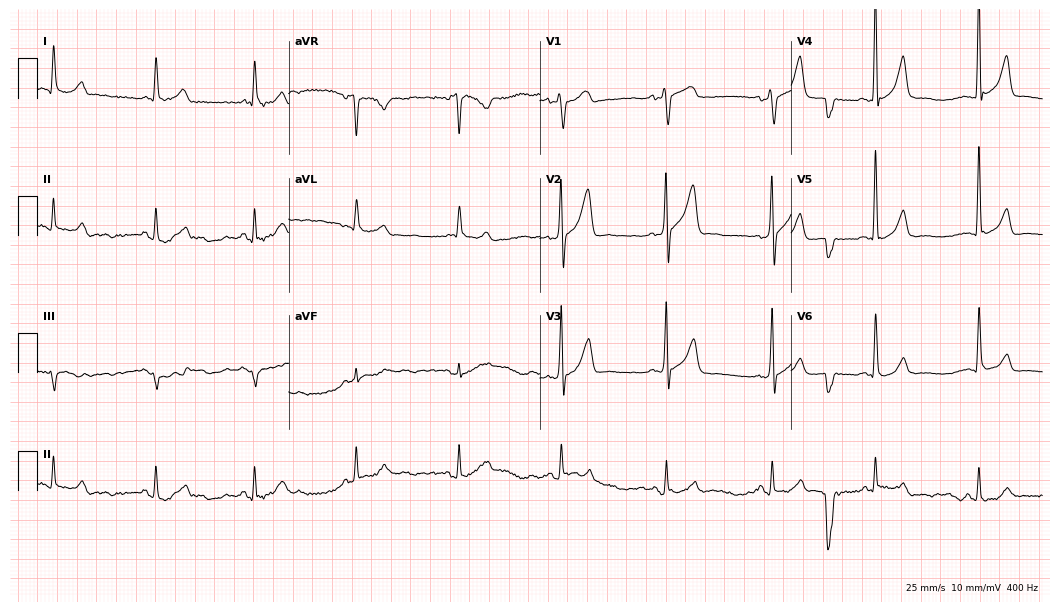
12-lead ECG from a 45-year-old male (10.2-second recording at 400 Hz). Recorded interpretation: within normal limits.